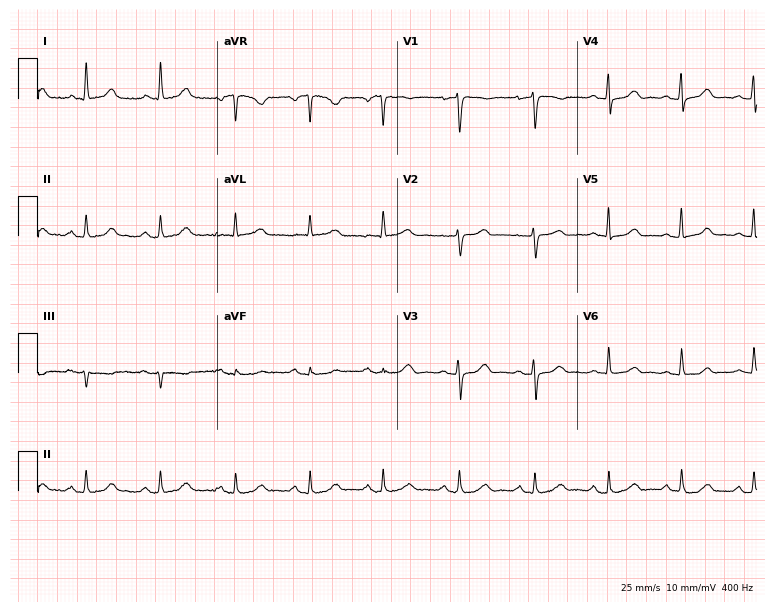
Standard 12-lead ECG recorded from a female patient, 65 years old. Read as a normal ECG.